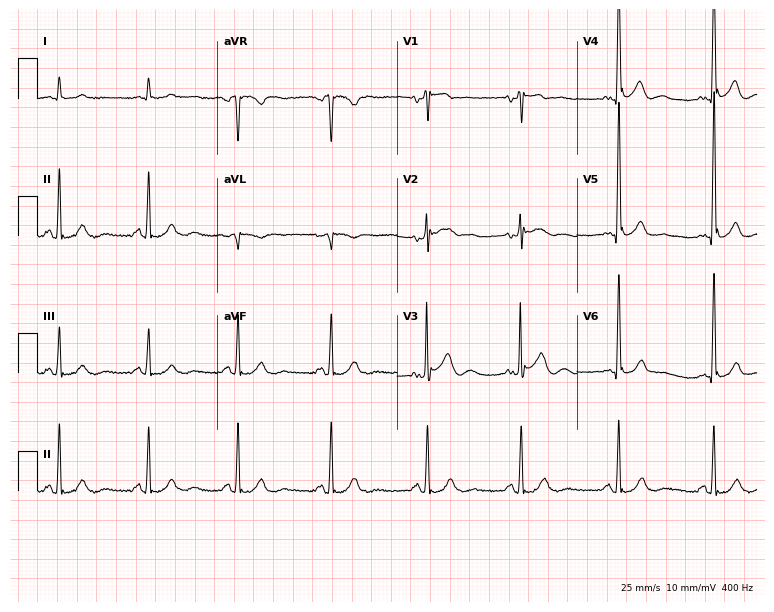
Resting 12-lead electrocardiogram. Patient: a 72-year-old male. None of these six findings is recorded: first-degree AV block, right bundle branch block, left bundle branch block, sinus bradycardia, atrial fibrillation, sinus tachycardia.